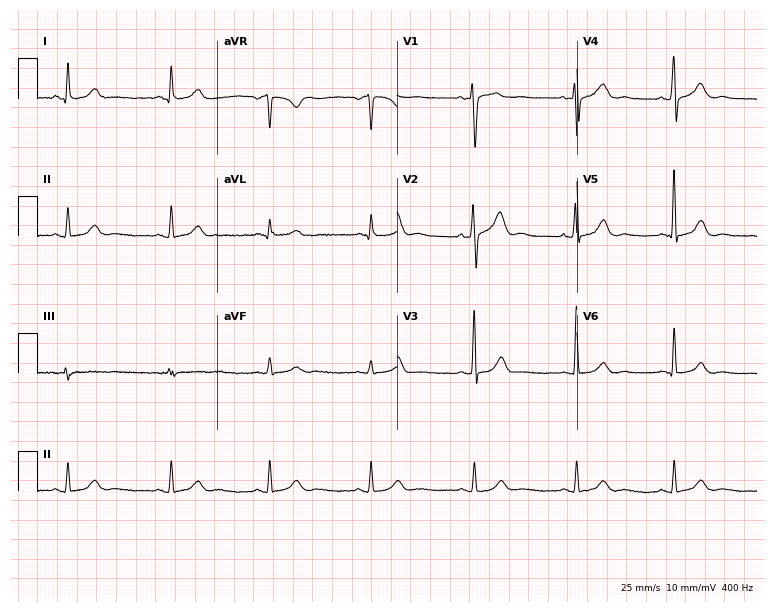
12-lead ECG from a male, 43 years old (7.3-second recording at 400 Hz). Recorded interpretation: within normal limits.